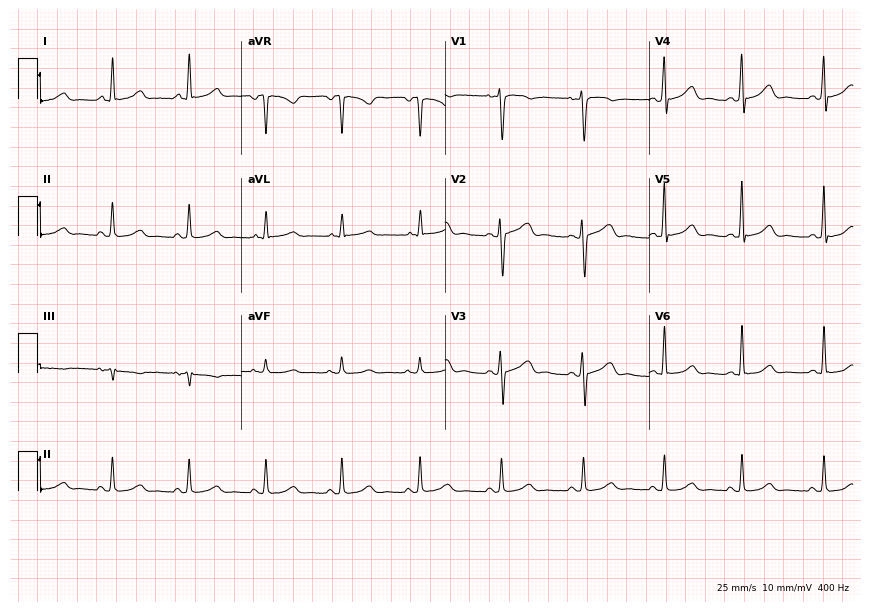
12-lead ECG from a female patient, 42 years old. Recorded interpretation: within normal limits.